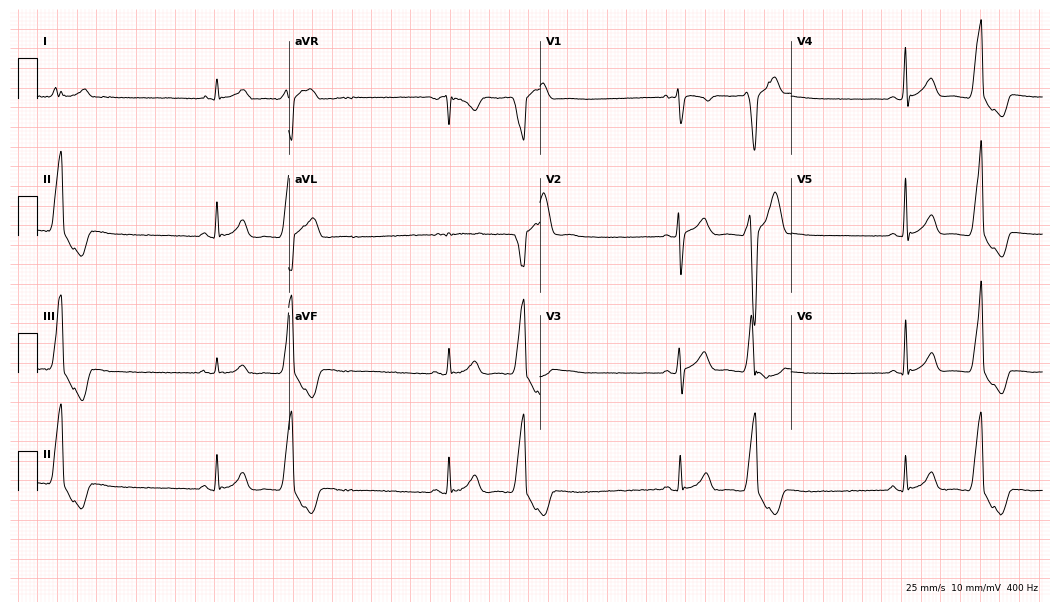
Electrocardiogram, a 21-year-old man. Of the six screened findings (first-degree AV block, right bundle branch block, left bundle branch block, sinus bradycardia, atrial fibrillation, sinus tachycardia), none is recorded.